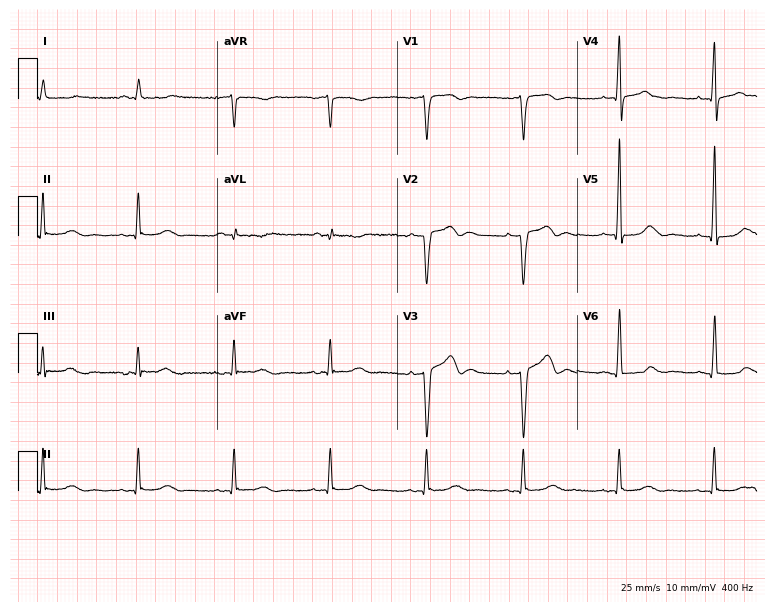
Standard 12-lead ECG recorded from a male patient, 78 years old (7.3-second recording at 400 Hz). Read as a normal ECG.